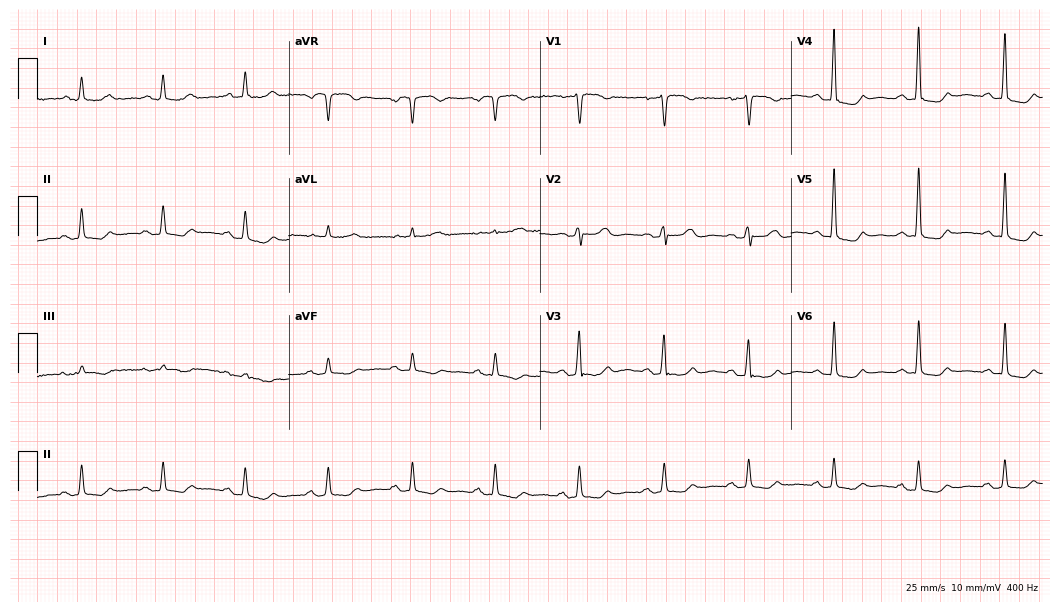
Standard 12-lead ECG recorded from a 64-year-old female patient (10.2-second recording at 400 Hz). None of these six findings is recorded: first-degree AV block, right bundle branch block, left bundle branch block, sinus bradycardia, atrial fibrillation, sinus tachycardia.